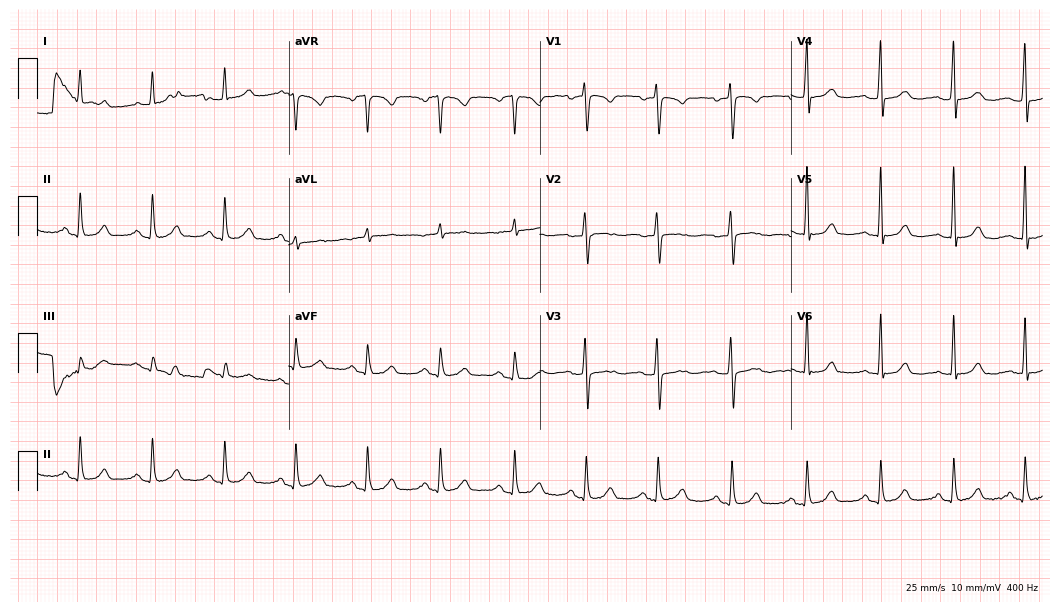
12-lead ECG from a 43-year-old woman. Recorded interpretation: within normal limits.